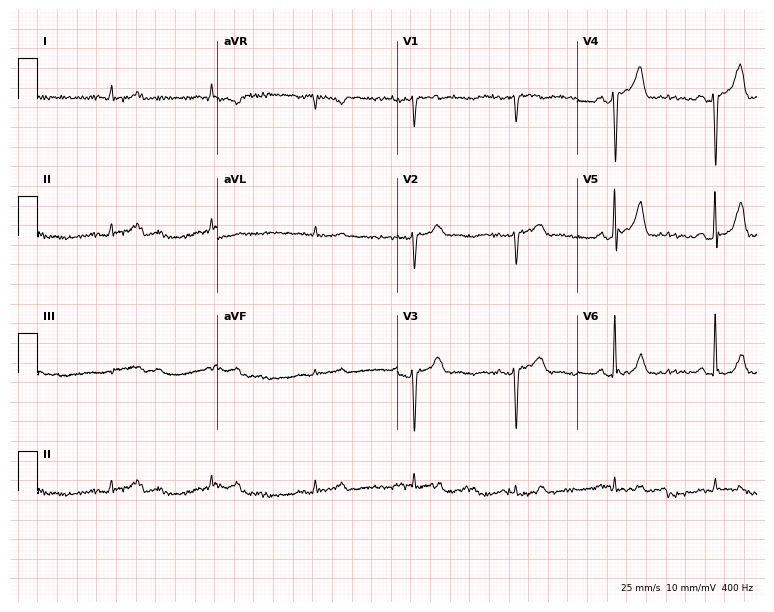
ECG — a male, 77 years old. Screened for six findings — first-degree AV block, right bundle branch block, left bundle branch block, sinus bradycardia, atrial fibrillation, sinus tachycardia — none is recorded. Findings outside these six are not listed.